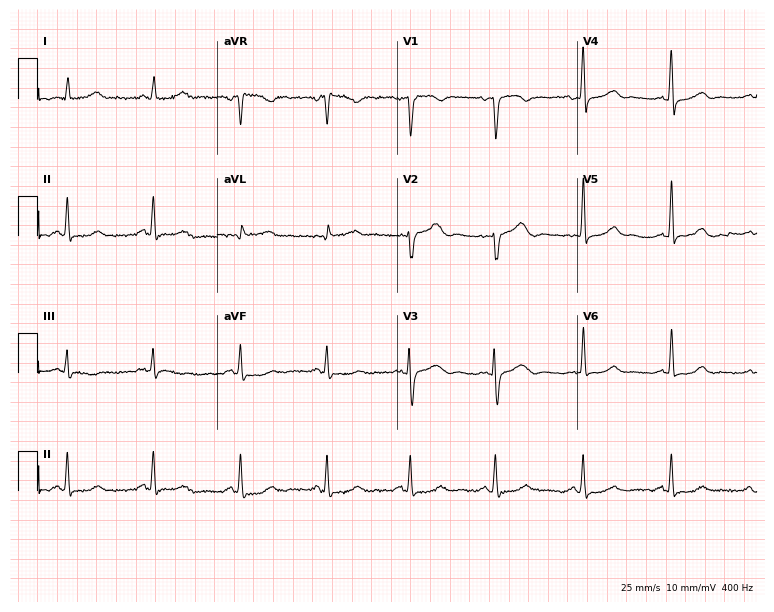
Electrocardiogram, a 51-year-old female patient. Overall reading on record: normal ECG.